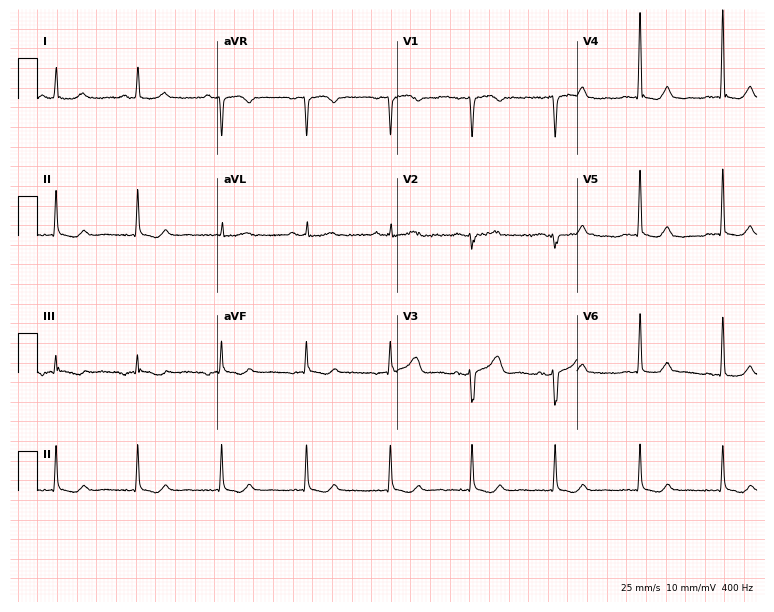
Resting 12-lead electrocardiogram (7.3-second recording at 400 Hz). Patient: a female, 52 years old. None of these six findings is recorded: first-degree AV block, right bundle branch block (RBBB), left bundle branch block (LBBB), sinus bradycardia, atrial fibrillation (AF), sinus tachycardia.